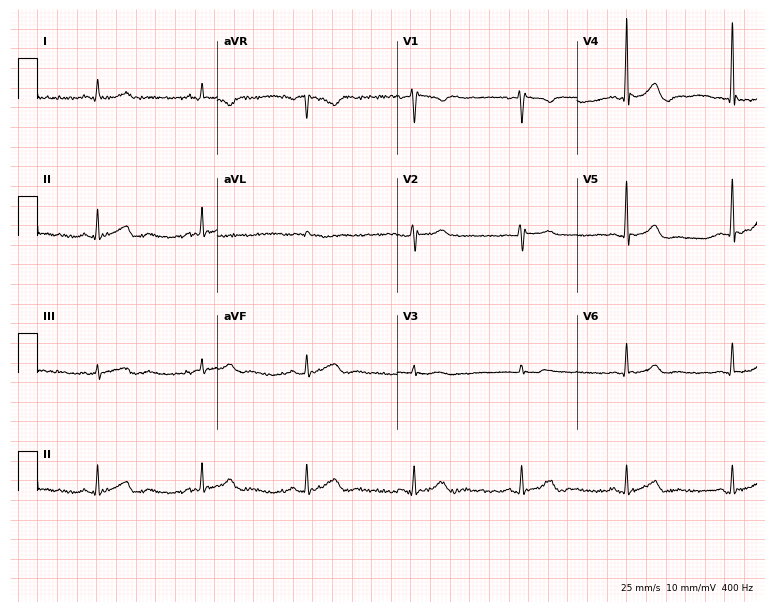
12-lead ECG from a male patient, 64 years old. No first-degree AV block, right bundle branch block (RBBB), left bundle branch block (LBBB), sinus bradycardia, atrial fibrillation (AF) or sinus tachycardia recorded for this tracing. Only these six findings were labelled.